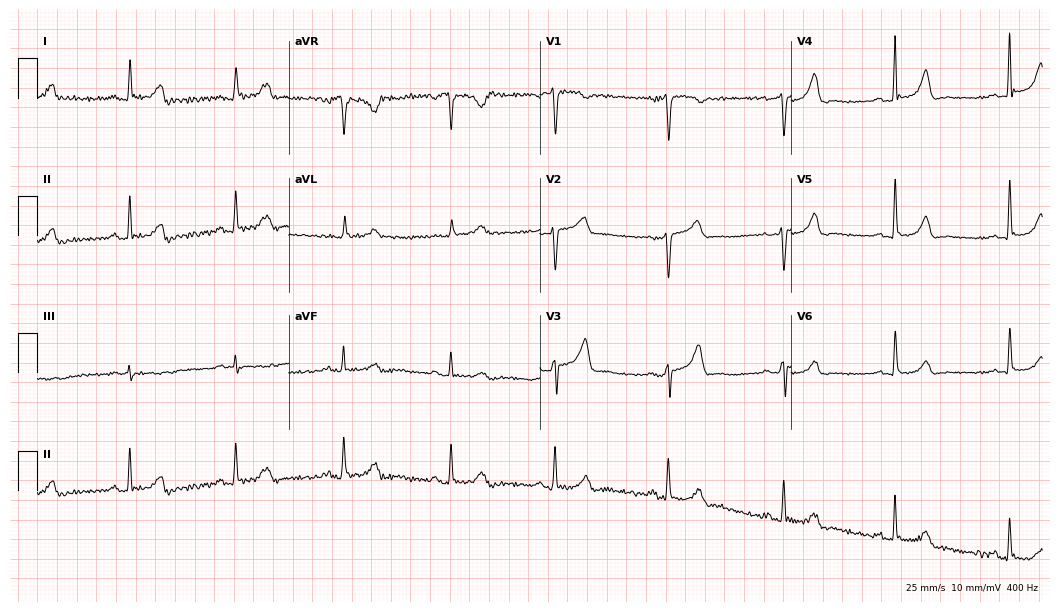
ECG — a 43-year-old female. Labelled as a normal ECG.